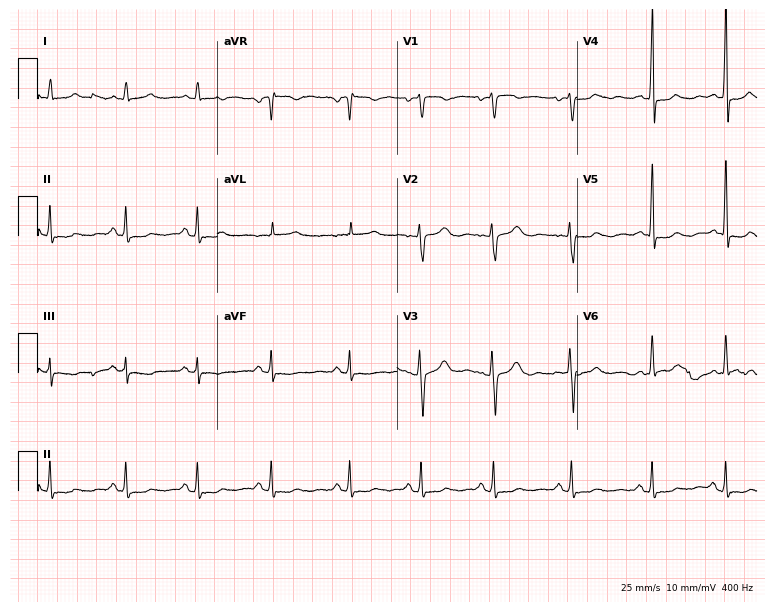
Standard 12-lead ECG recorded from a woman, 34 years old. None of these six findings is recorded: first-degree AV block, right bundle branch block (RBBB), left bundle branch block (LBBB), sinus bradycardia, atrial fibrillation (AF), sinus tachycardia.